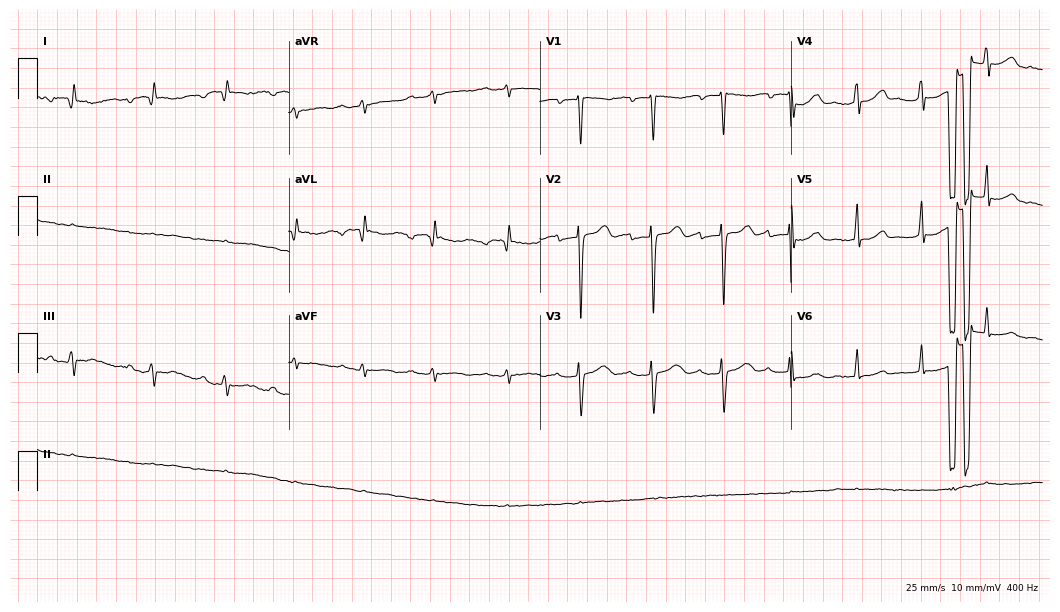
12-lead ECG (10.2-second recording at 400 Hz) from a woman, 21 years old. Screened for six findings — first-degree AV block, right bundle branch block, left bundle branch block, sinus bradycardia, atrial fibrillation, sinus tachycardia — none is recorded.